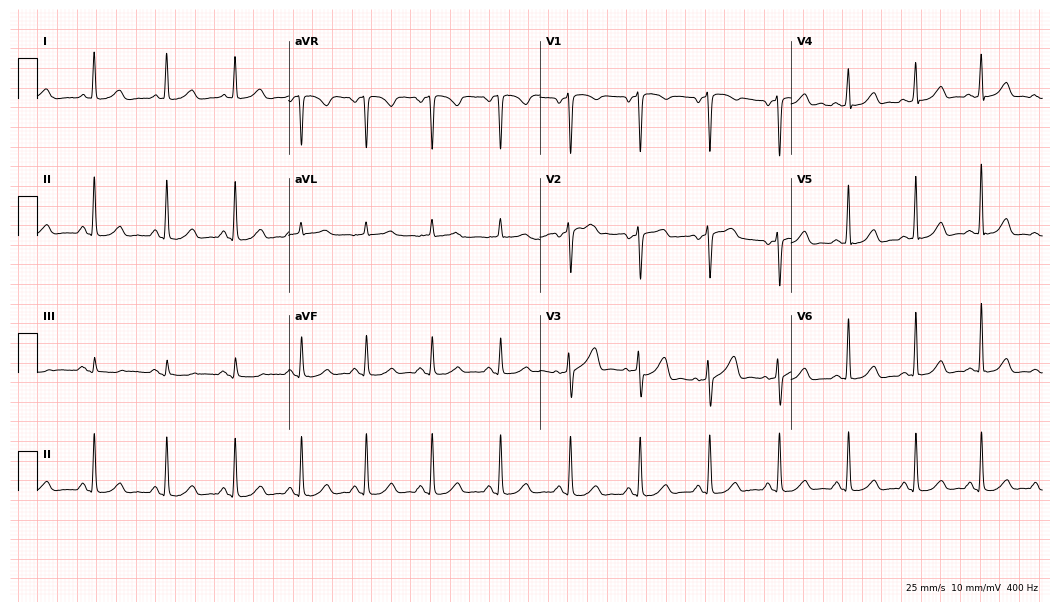
Standard 12-lead ECG recorded from a female patient, 45 years old (10.2-second recording at 400 Hz). Read as a normal ECG.